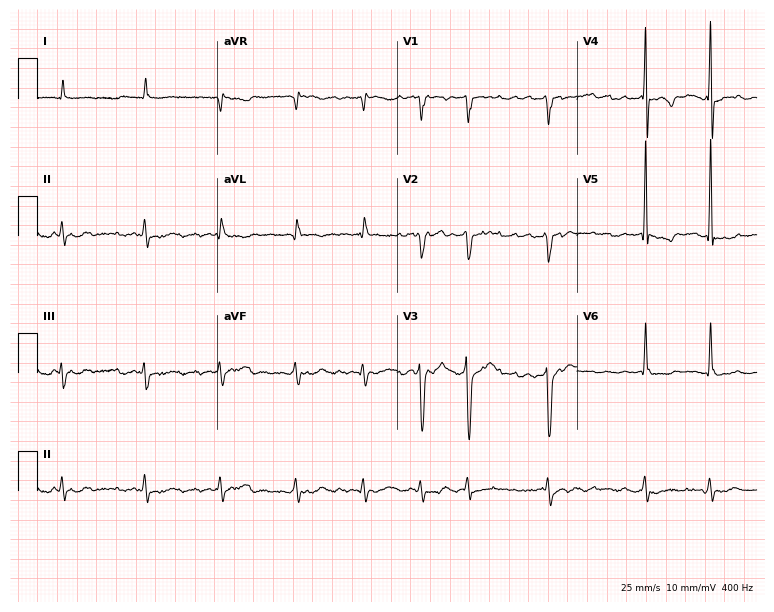
Electrocardiogram (7.3-second recording at 400 Hz), an 82-year-old man. Interpretation includes atrial fibrillation (AF).